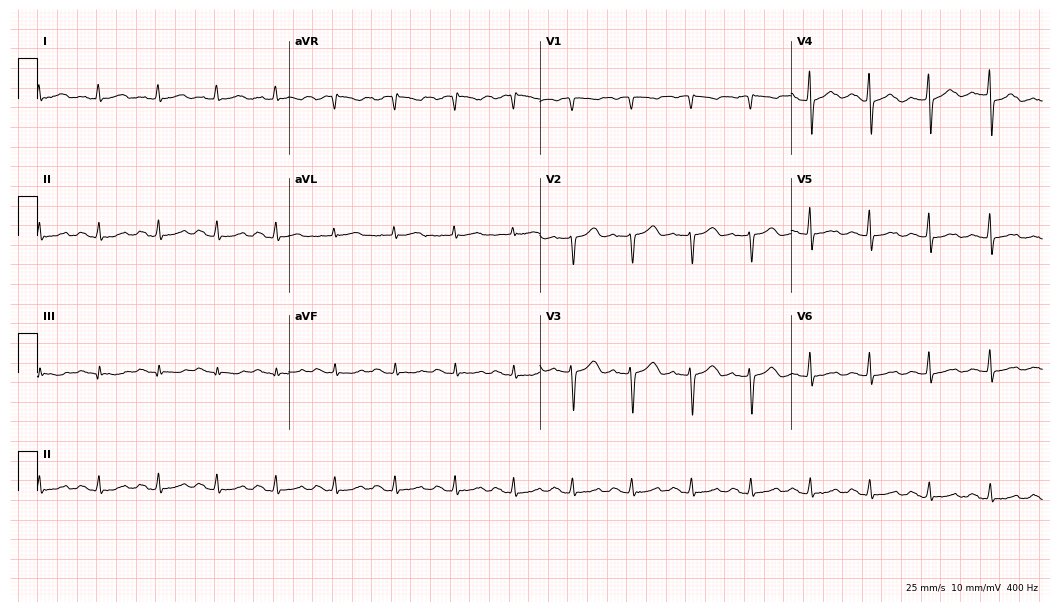
12-lead ECG from a female, 79 years old. Screened for six findings — first-degree AV block, right bundle branch block (RBBB), left bundle branch block (LBBB), sinus bradycardia, atrial fibrillation (AF), sinus tachycardia — none is recorded.